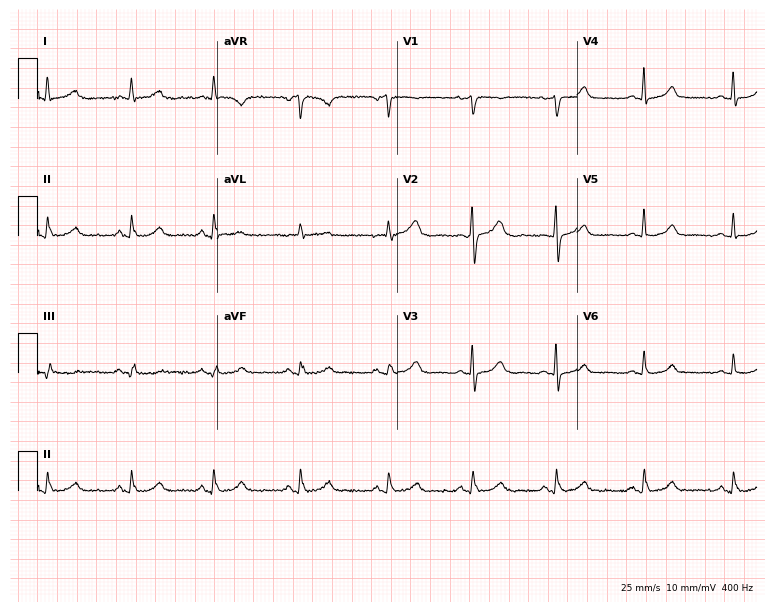
12-lead ECG from a 60-year-old woman (7.3-second recording at 400 Hz). Recorded interpretation: within normal limits.